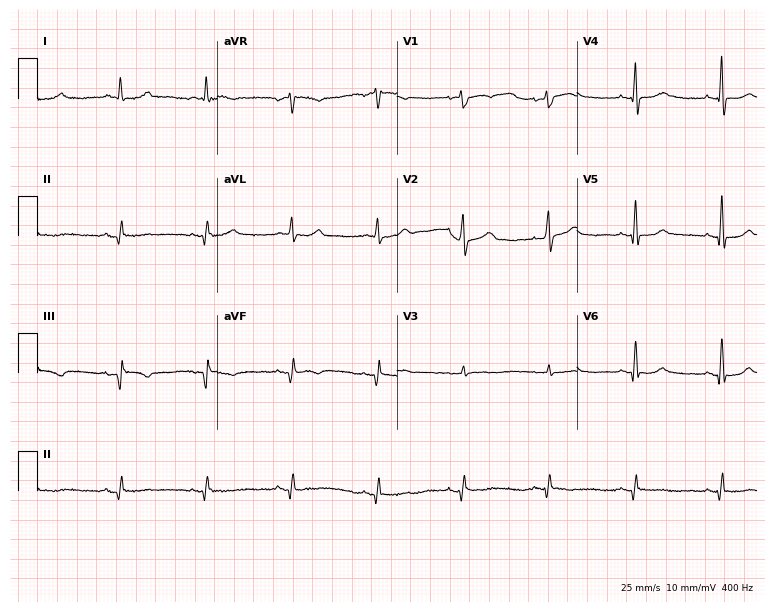
12-lead ECG from a man, 79 years old. No first-degree AV block, right bundle branch block, left bundle branch block, sinus bradycardia, atrial fibrillation or sinus tachycardia recorded for this tracing.